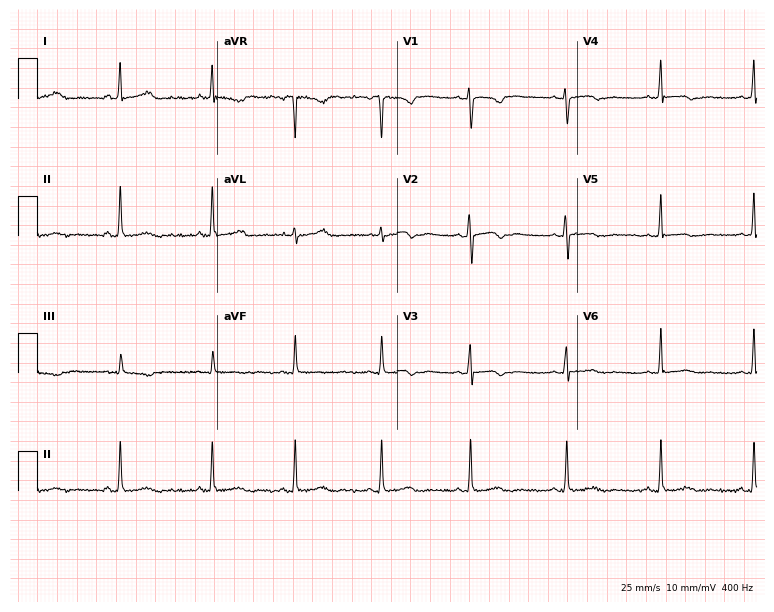
Electrocardiogram, a female, 17 years old. Of the six screened findings (first-degree AV block, right bundle branch block, left bundle branch block, sinus bradycardia, atrial fibrillation, sinus tachycardia), none is recorded. Only these six findings were labelled.